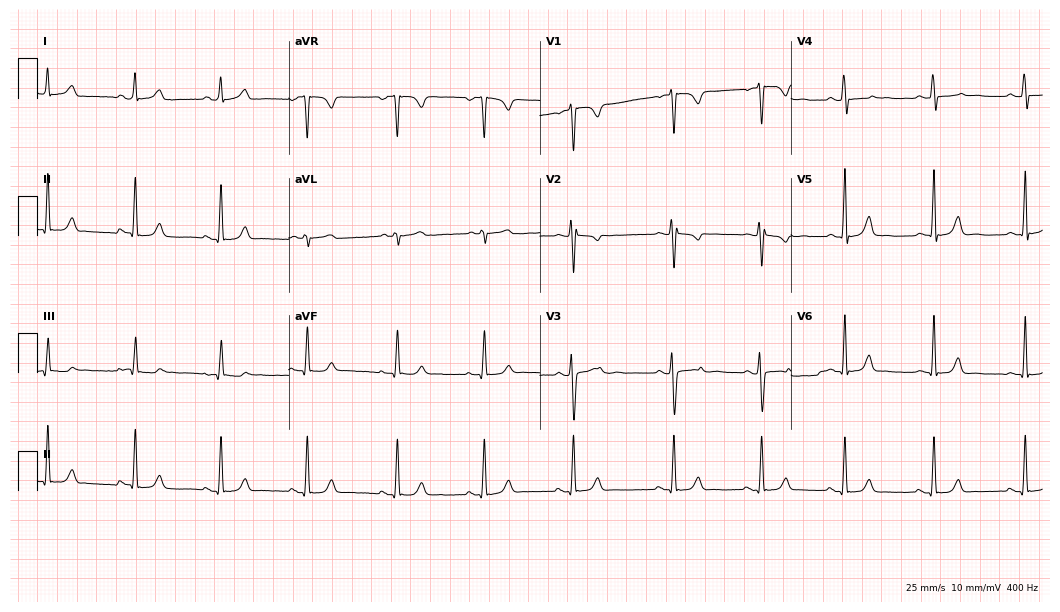
12-lead ECG from an 18-year-old female patient. Labelled as a normal ECG.